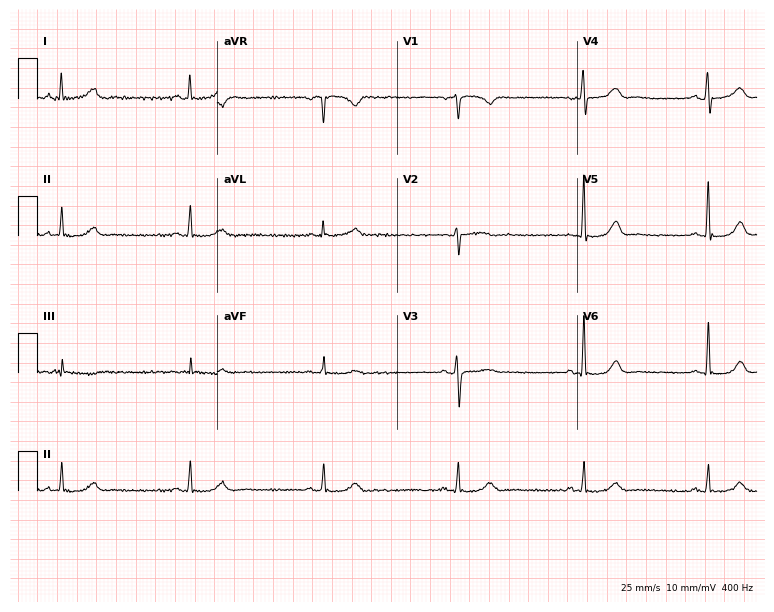
Electrocardiogram, a female patient, 60 years old. Overall reading on record: normal ECG.